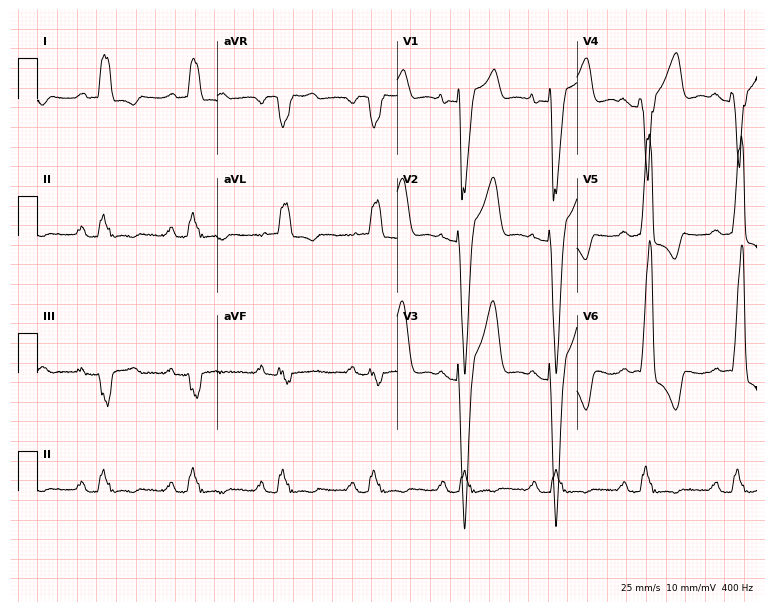
Electrocardiogram, a female patient, 59 years old. Interpretation includes first-degree AV block, left bundle branch block.